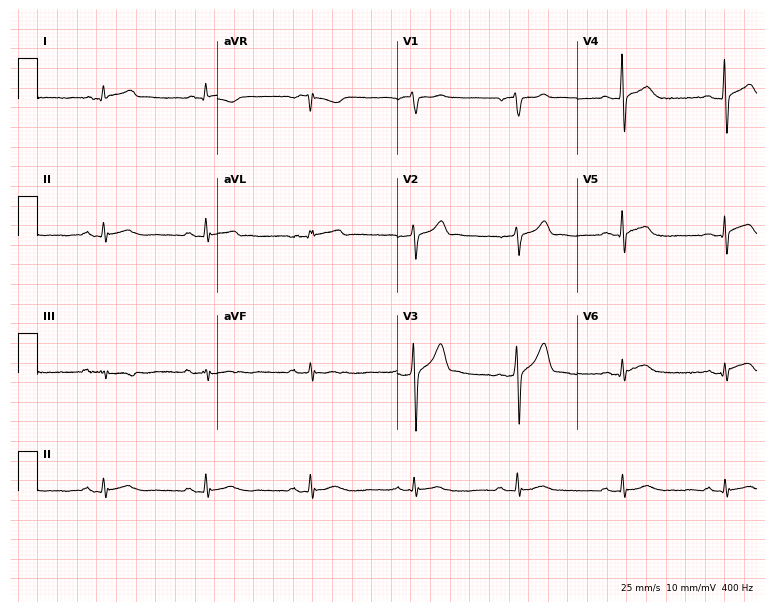
Standard 12-lead ECG recorded from a 73-year-old male. None of these six findings is recorded: first-degree AV block, right bundle branch block, left bundle branch block, sinus bradycardia, atrial fibrillation, sinus tachycardia. Findings outside these six are not listed.